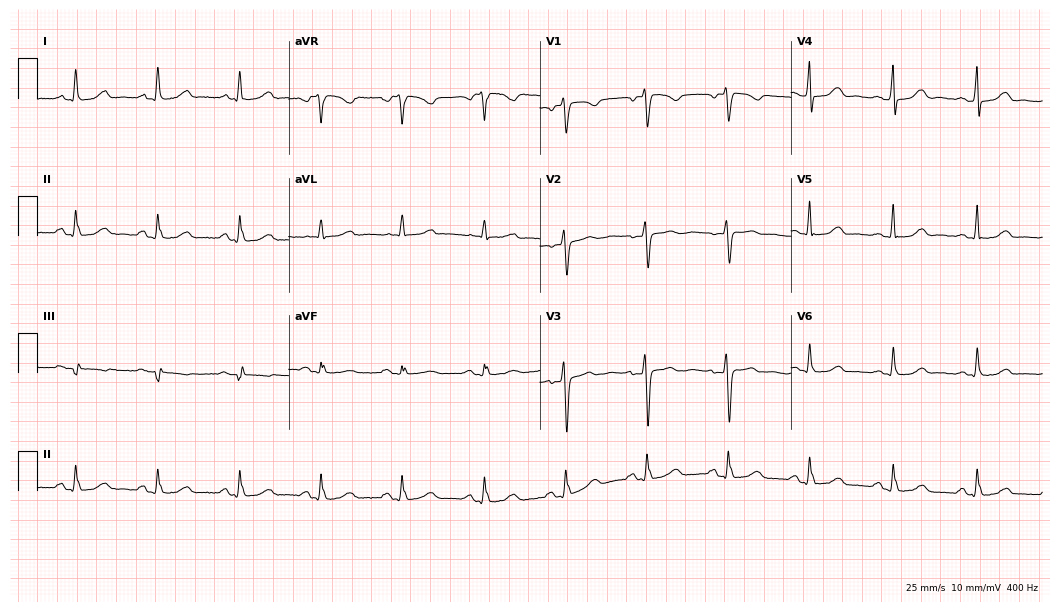
12-lead ECG from a 52-year-old female patient. Labelled as a normal ECG.